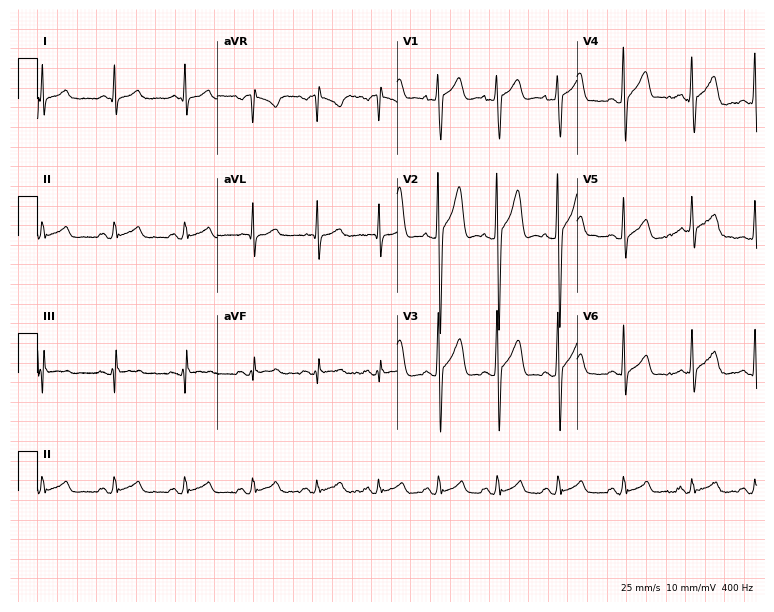
Electrocardiogram (7.3-second recording at 400 Hz), a 33-year-old male patient. Of the six screened findings (first-degree AV block, right bundle branch block, left bundle branch block, sinus bradycardia, atrial fibrillation, sinus tachycardia), none is recorded. Findings outside these six are not listed.